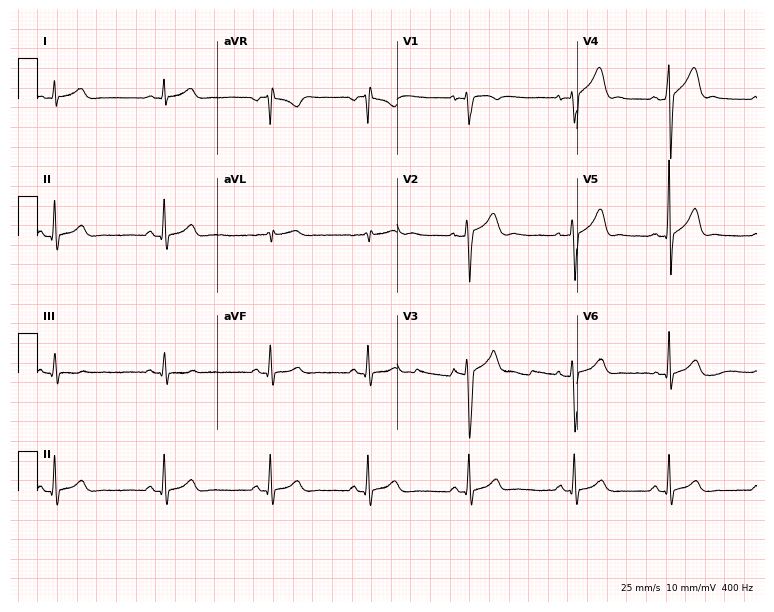
ECG (7.3-second recording at 400 Hz) — a man, 19 years old. Labelled as a normal ECG.